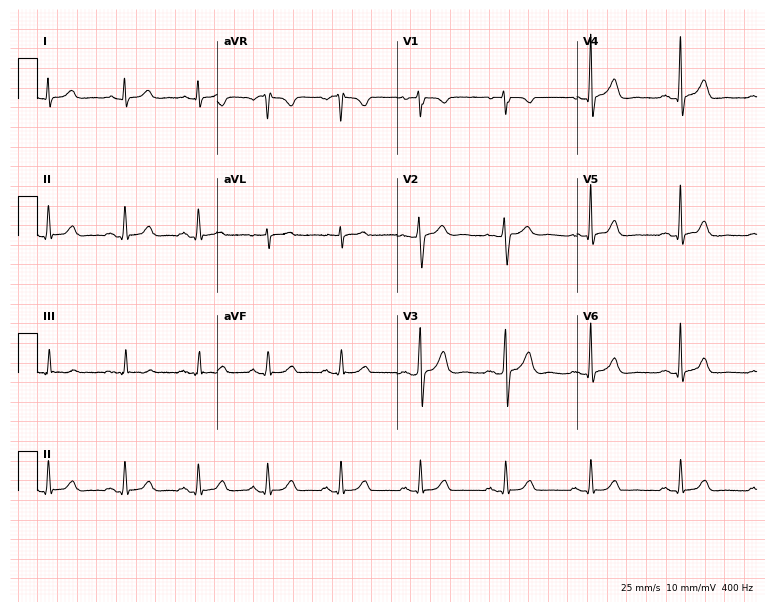
ECG (7.3-second recording at 400 Hz) — a 34-year-old female patient. Labelled as a normal ECG.